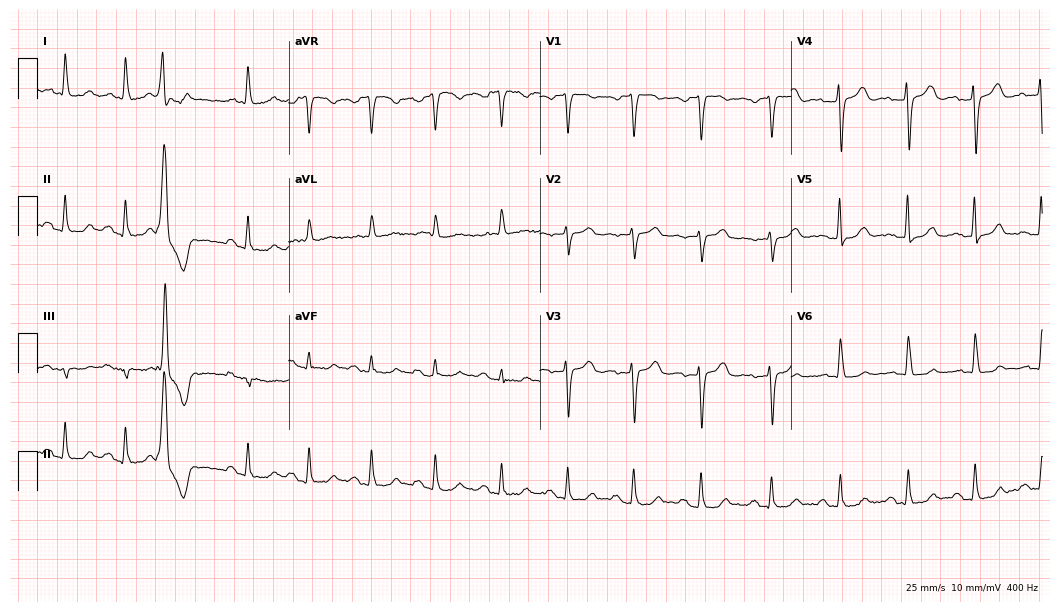
Resting 12-lead electrocardiogram (10.2-second recording at 400 Hz). Patient: a female, 25 years old. Read as a normal ECG.